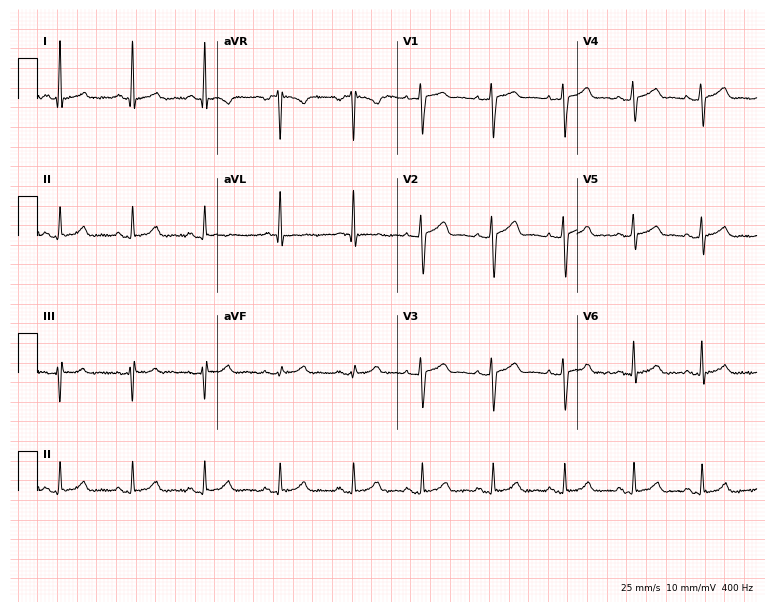
ECG — a 35-year-old female patient. Labelled as a normal ECG.